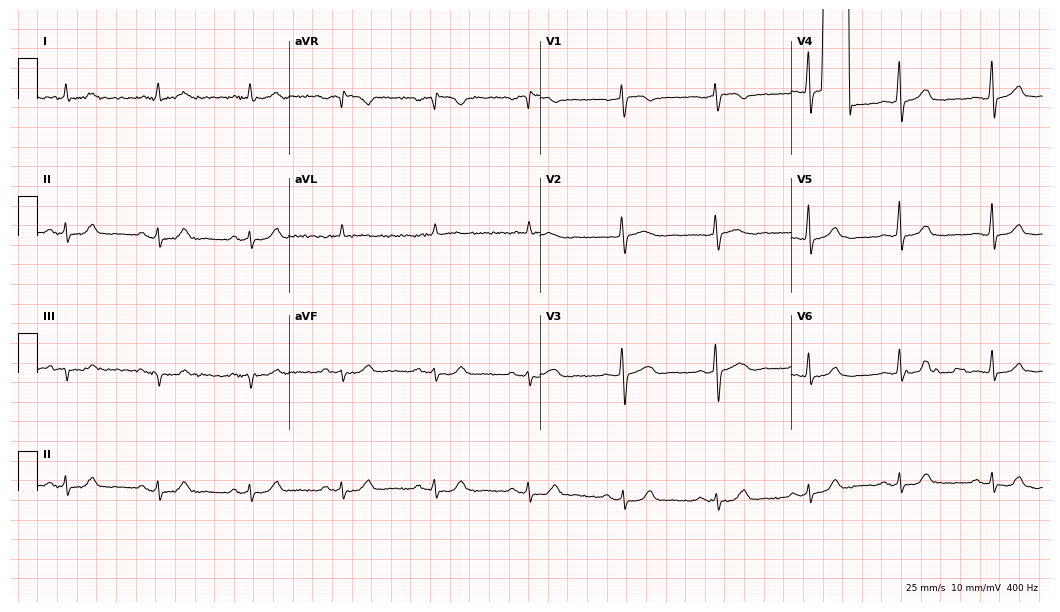
ECG — an 80-year-old female. Screened for six findings — first-degree AV block, right bundle branch block, left bundle branch block, sinus bradycardia, atrial fibrillation, sinus tachycardia — none is recorded. Findings outside these six are not listed.